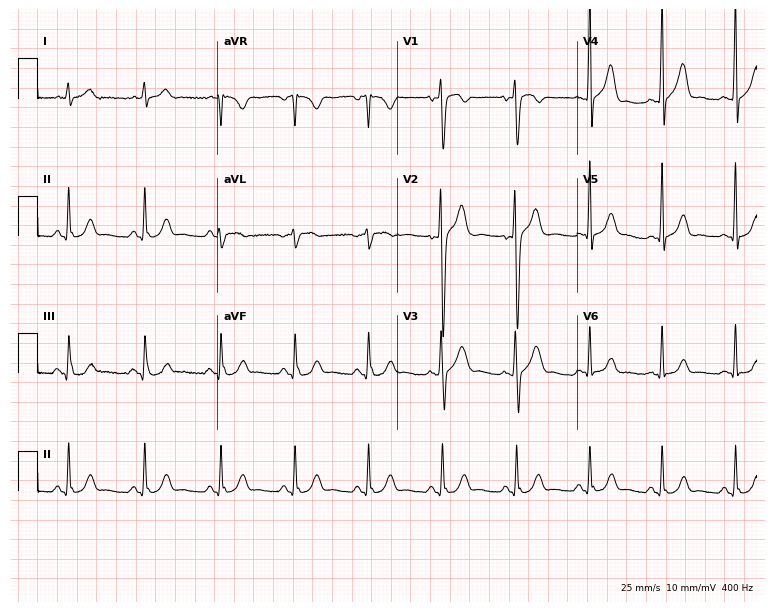
12-lead ECG from a man, 25 years old. Labelled as a normal ECG.